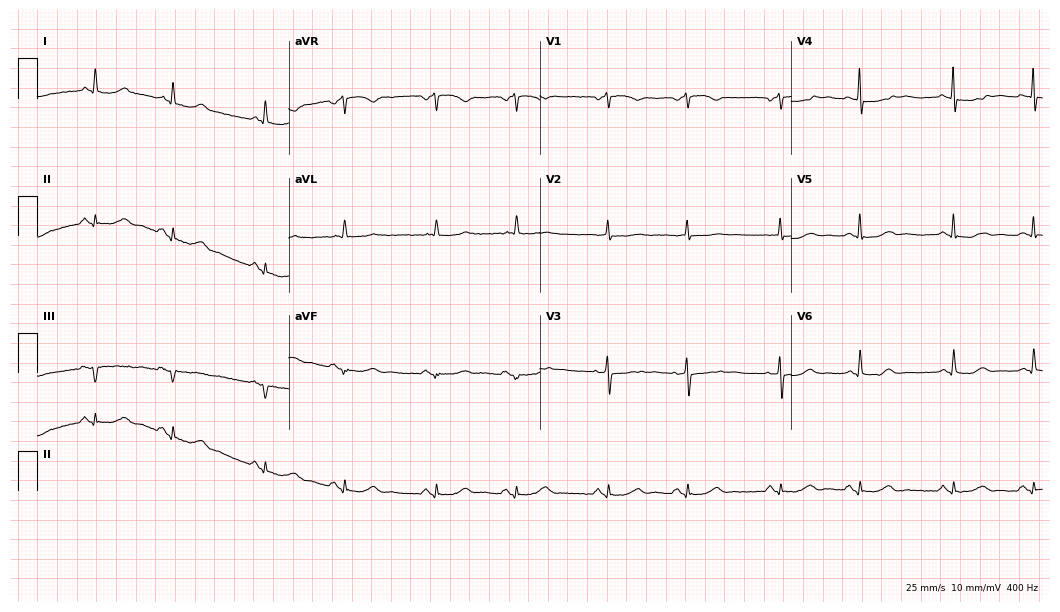
12-lead ECG from a female patient, 76 years old. Labelled as a normal ECG.